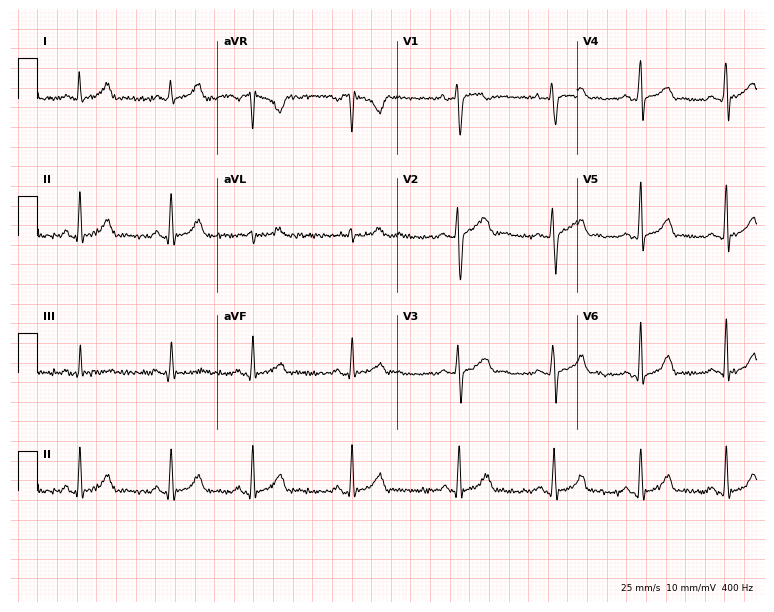
Electrocardiogram (7.3-second recording at 400 Hz), a male patient, 21 years old. Overall reading on record: normal ECG.